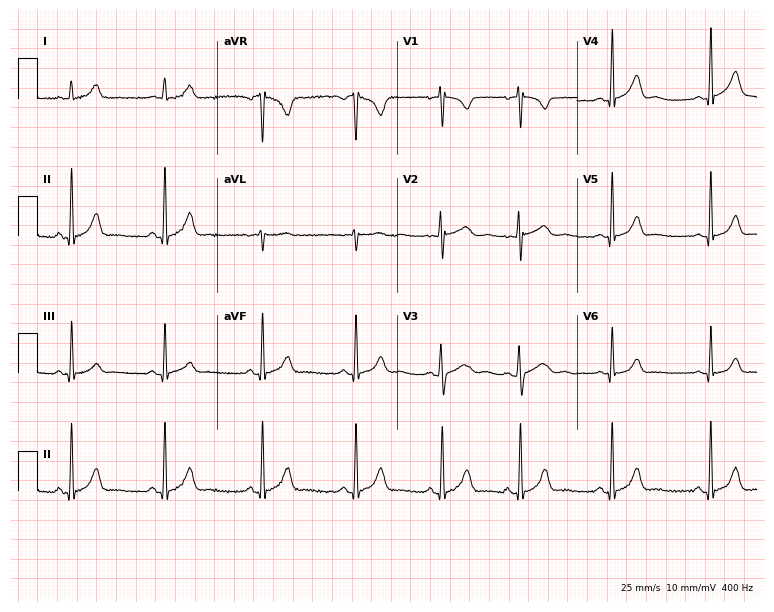
Electrocardiogram (7.3-second recording at 400 Hz), a female, 17 years old. Overall reading on record: normal ECG.